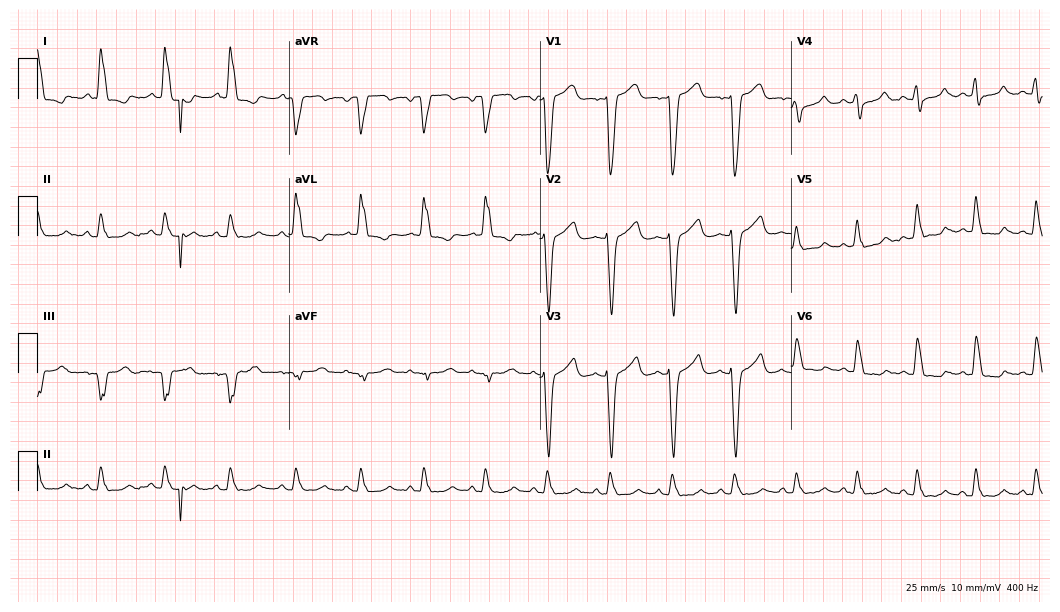
12-lead ECG from a woman, 53 years old. No first-degree AV block, right bundle branch block, left bundle branch block, sinus bradycardia, atrial fibrillation or sinus tachycardia recorded for this tracing.